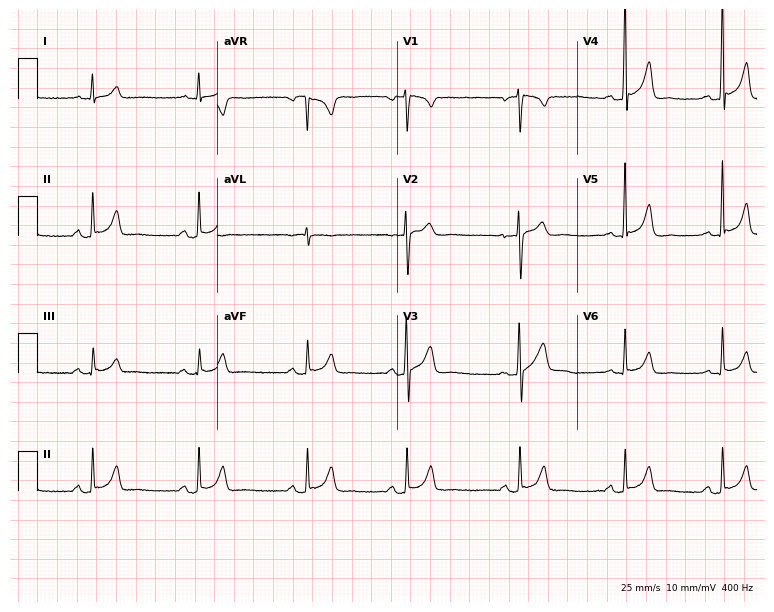
Standard 12-lead ECG recorded from a 34-year-old male patient (7.3-second recording at 400 Hz). Read as a normal ECG.